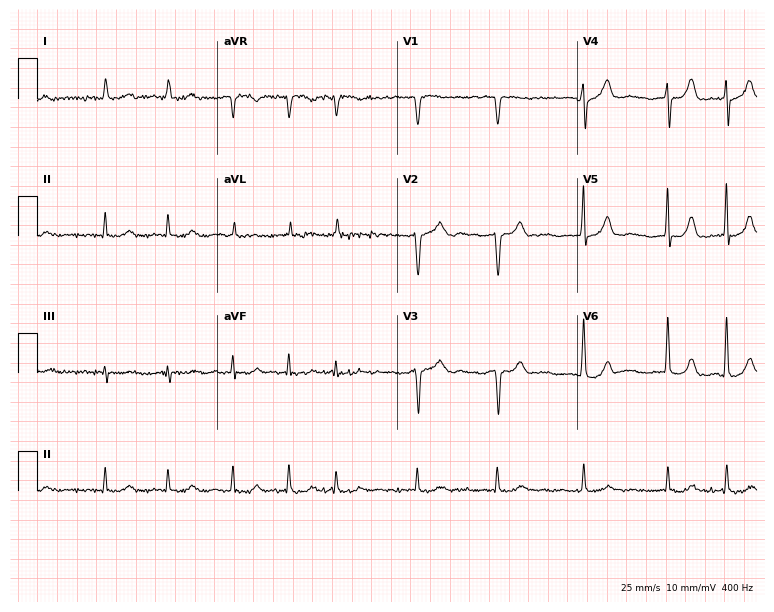
12-lead ECG from a female patient, 79 years old. Findings include atrial fibrillation (AF).